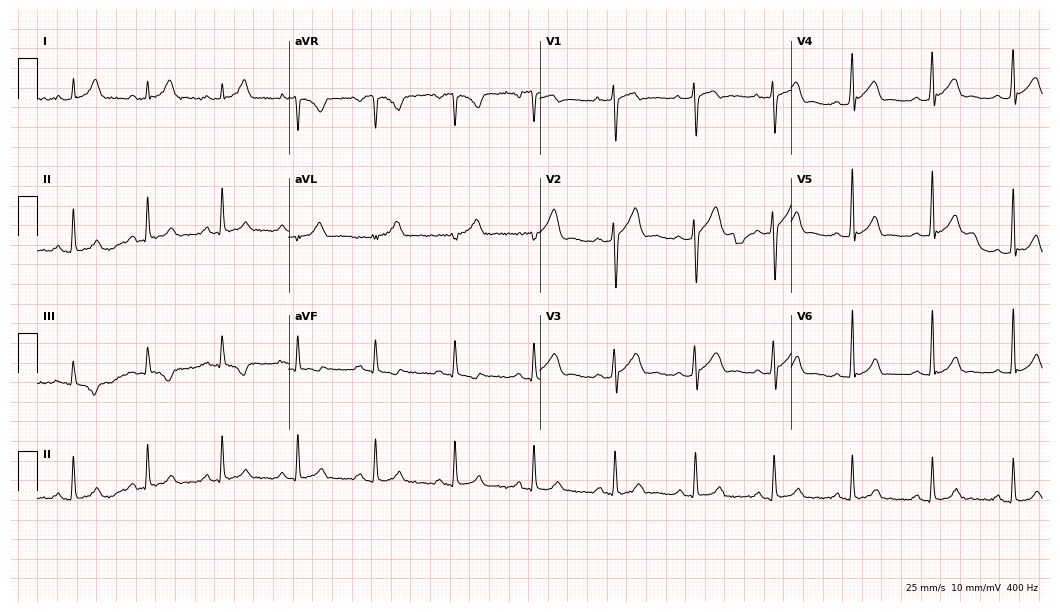
12-lead ECG (10.2-second recording at 400 Hz) from a 28-year-old man. Labelled as a normal ECG.